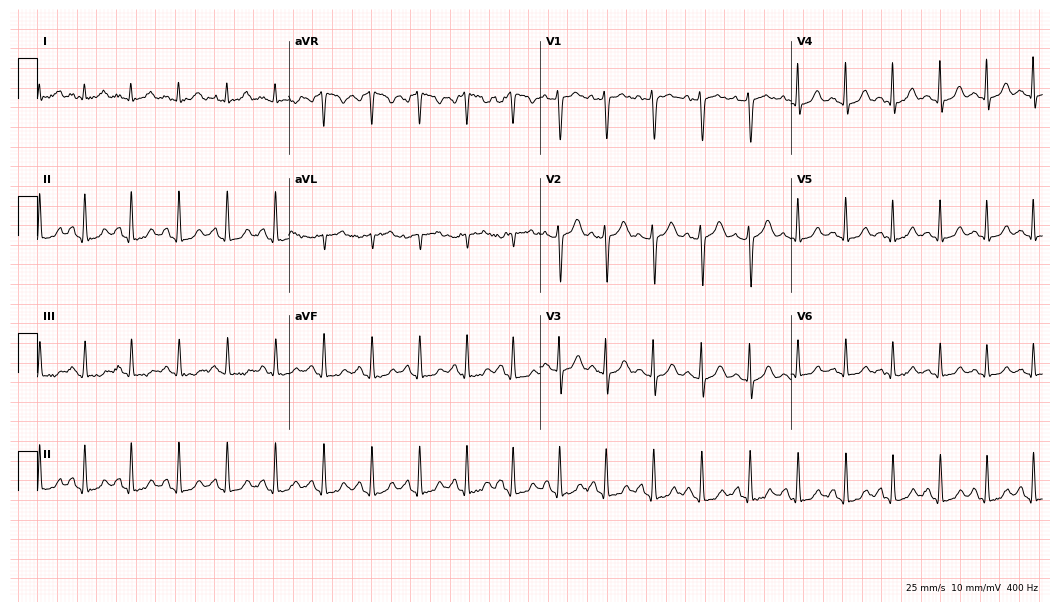
Standard 12-lead ECG recorded from a woman, 20 years old (10.2-second recording at 400 Hz). The tracing shows sinus tachycardia (a sinus rate of 100 beats per minute or more).